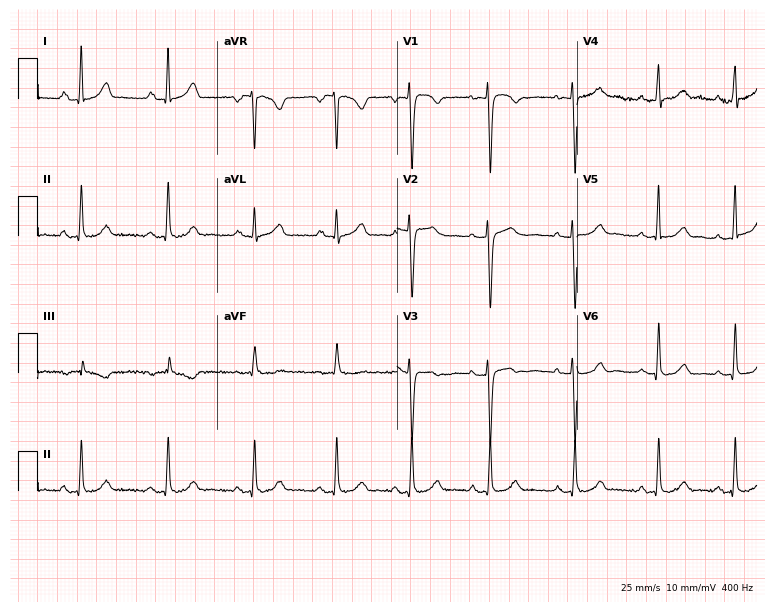
ECG (7.3-second recording at 400 Hz) — a woman, 22 years old. Screened for six findings — first-degree AV block, right bundle branch block (RBBB), left bundle branch block (LBBB), sinus bradycardia, atrial fibrillation (AF), sinus tachycardia — none is recorded.